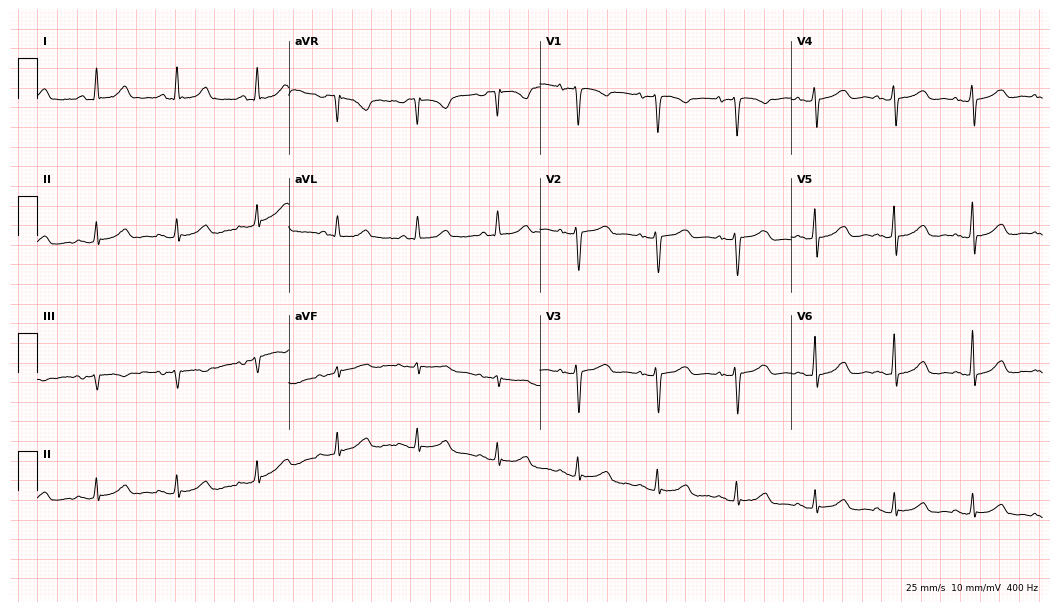
Resting 12-lead electrocardiogram. Patient: a 63-year-old female. Read as a normal ECG.